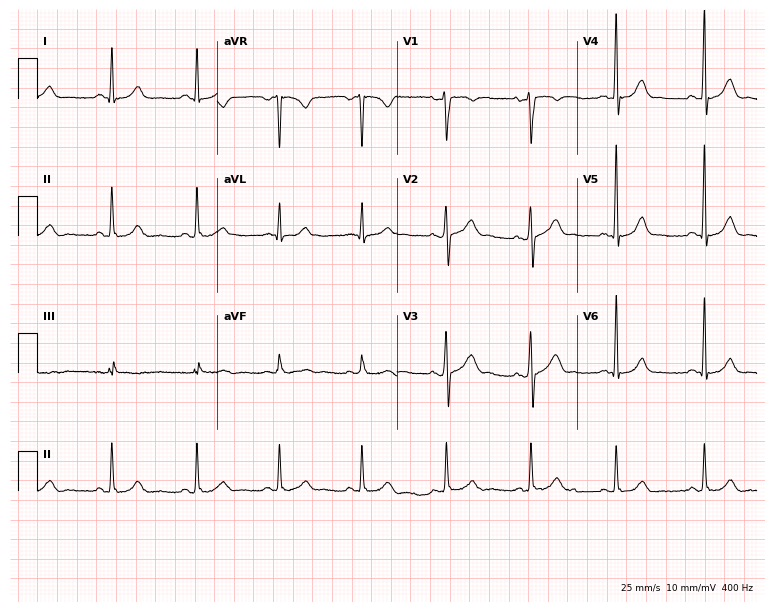
Electrocardiogram (7.3-second recording at 400 Hz), a man, 42 years old. Overall reading on record: normal ECG.